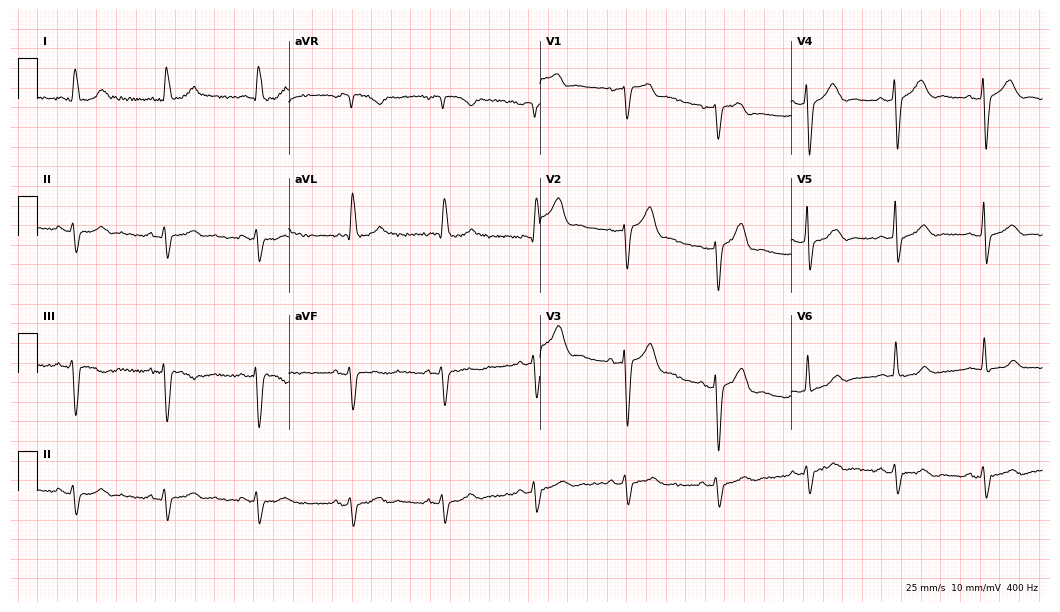
ECG — a man, 82 years old. Screened for six findings — first-degree AV block, right bundle branch block, left bundle branch block, sinus bradycardia, atrial fibrillation, sinus tachycardia — none is recorded. Findings outside these six are not listed.